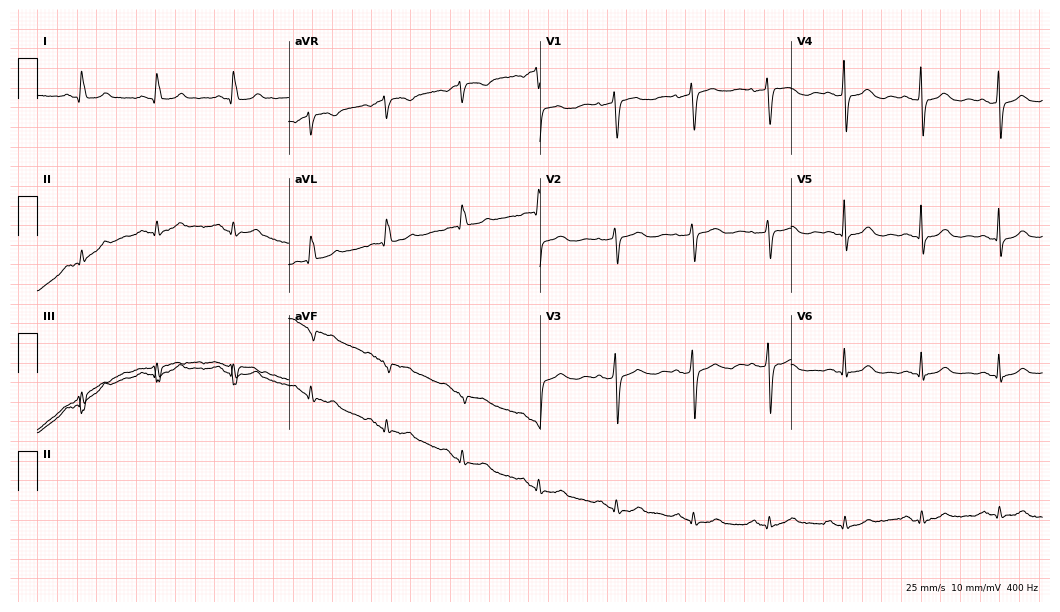
12-lead ECG (10.2-second recording at 400 Hz) from a female patient, 69 years old. Screened for six findings — first-degree AV block, right bundle branch block, left bundle branch block, sinus bradycardia, atrial fibrillation, sinus tachycardia — none is recorded. Only these six findings were labelled.